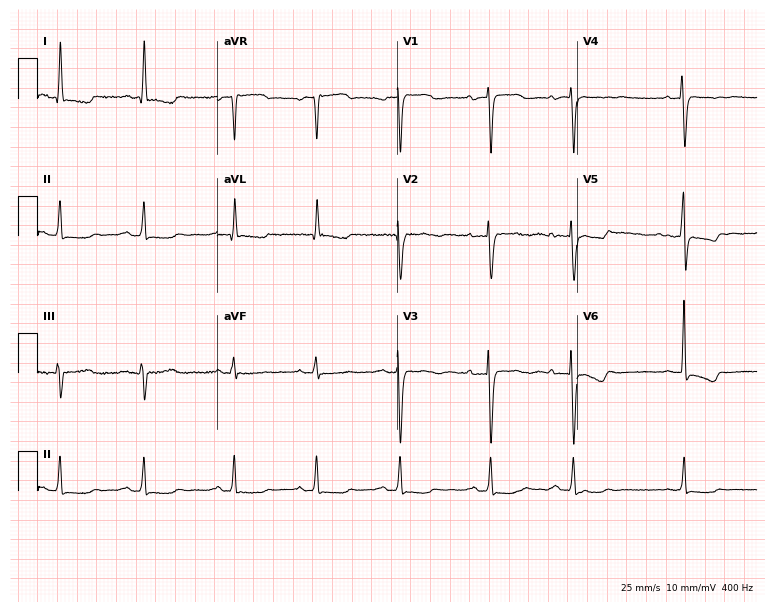
Resting 12-lead electrocardiogram (7.3-second recording at 400 Hz). Patient: a female, 67 years old. Read as a normal ECG.